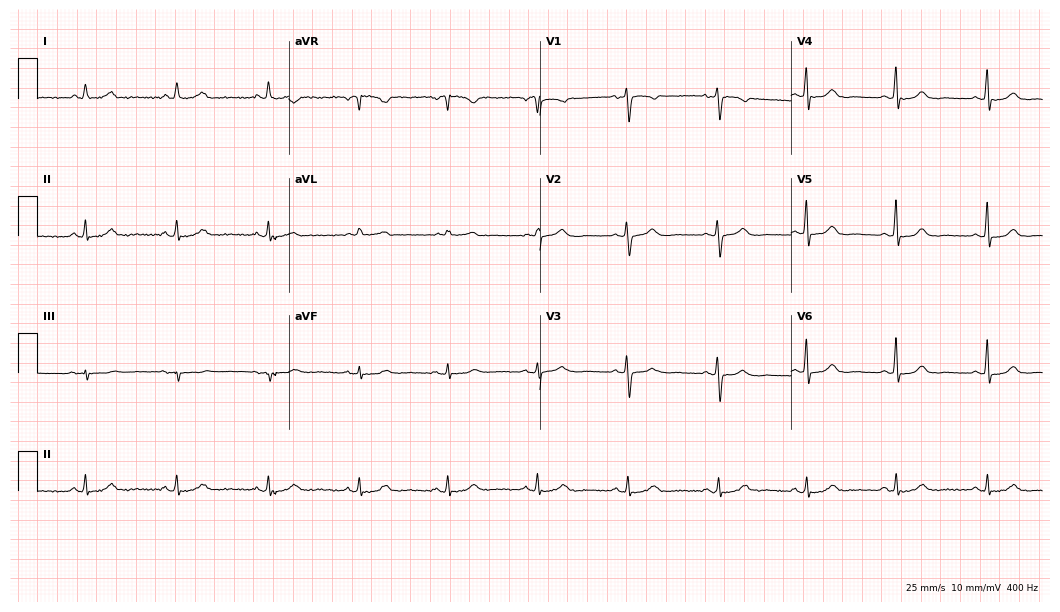
12-lead ECG from a 71-year-old female patient. Recorded interpretation: within normal limits.